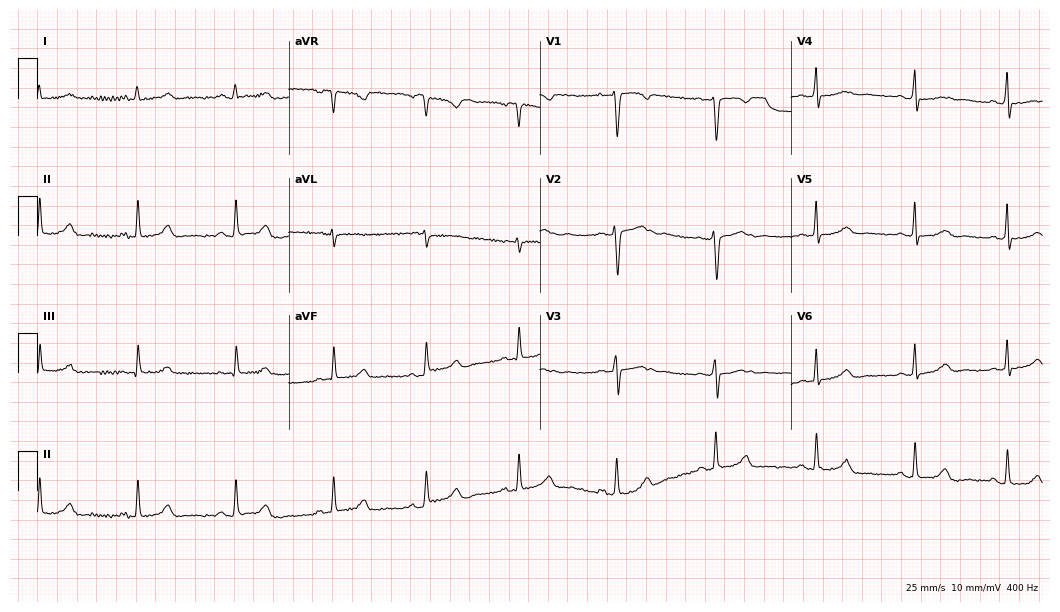
12-lead ECG from a female, 27 years old. Labelled as a normal ECG.